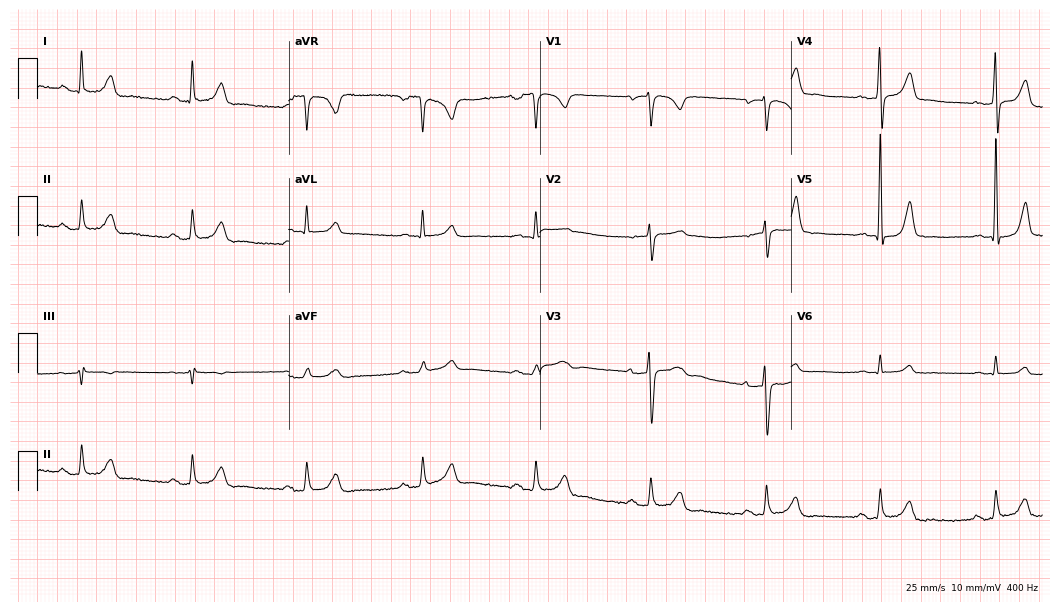
12-lead ECG from a male, 84 years old. Labelled as a normal ECG.